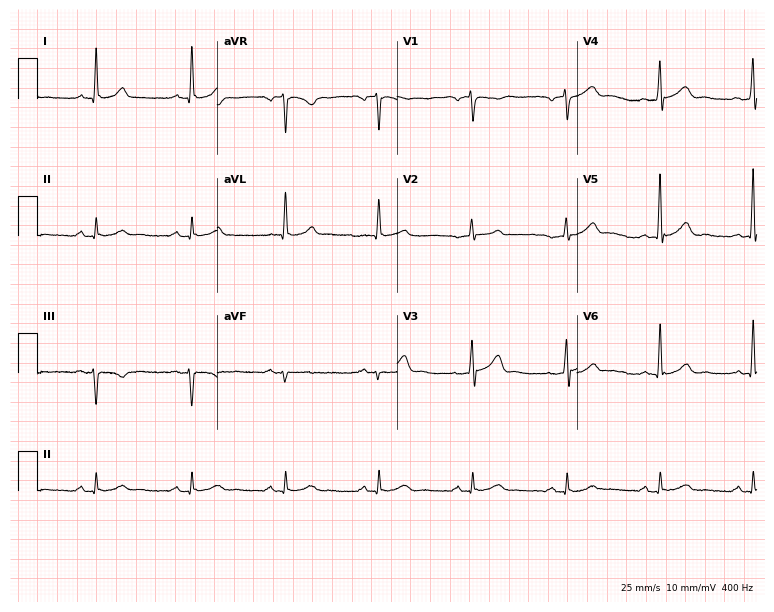
Resting 12-lead electrocardiogram. Patient: a 71-year-old male. Read as a normal ECG.